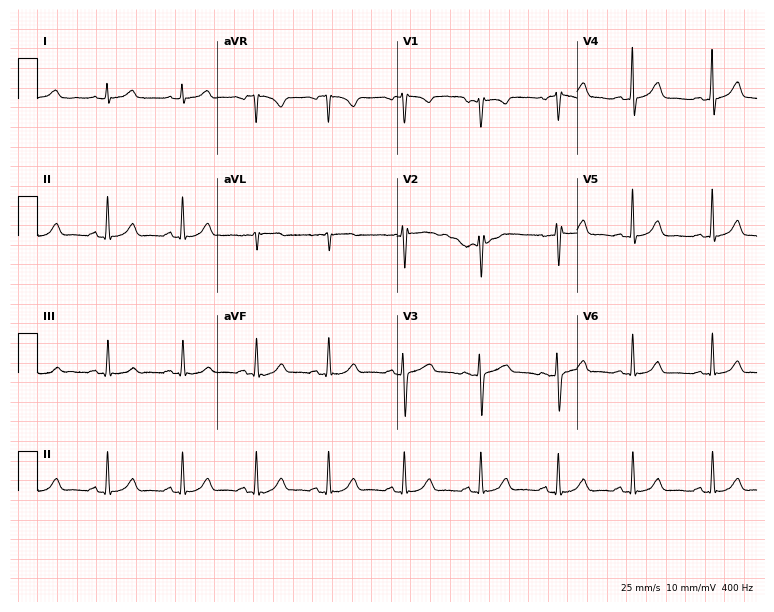
12-lead ECG from a male, 45 years old. Recorded interpretation: within normal limits.